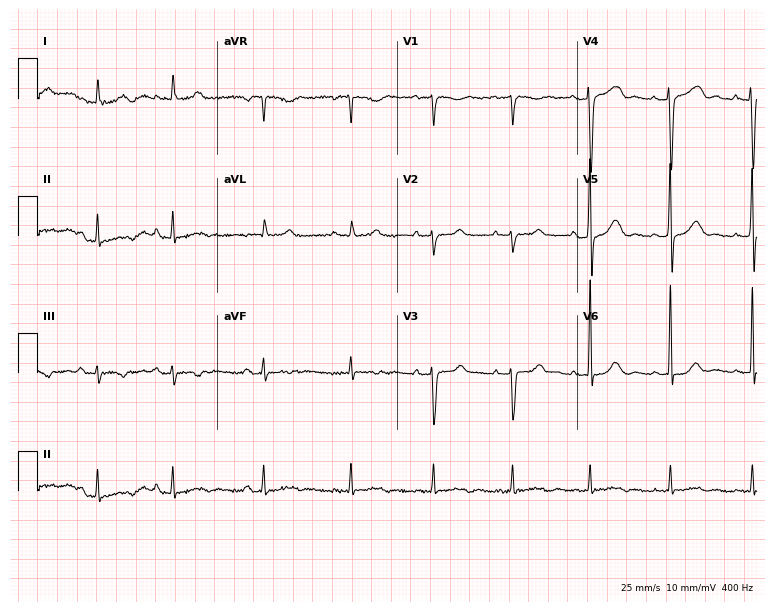
12-lead ECG (7.3-second recording at 400 Hz) from a 28-year-old female patient. Screened for six findings — first-degree AV block, right bundle branch block, left bundle branch block, sinus bradycardia, atrial fibrillation, sinus tachycardia — none is recorded.